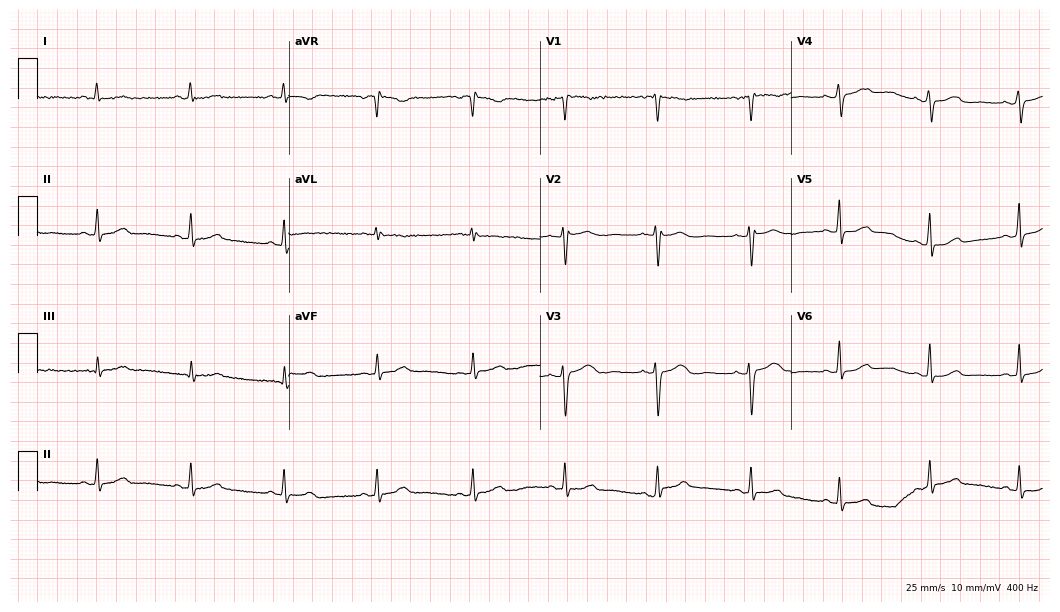
Resting 12-lead electrocardiogram. Patient: a 29-year-old female. Read as a normal ECG.